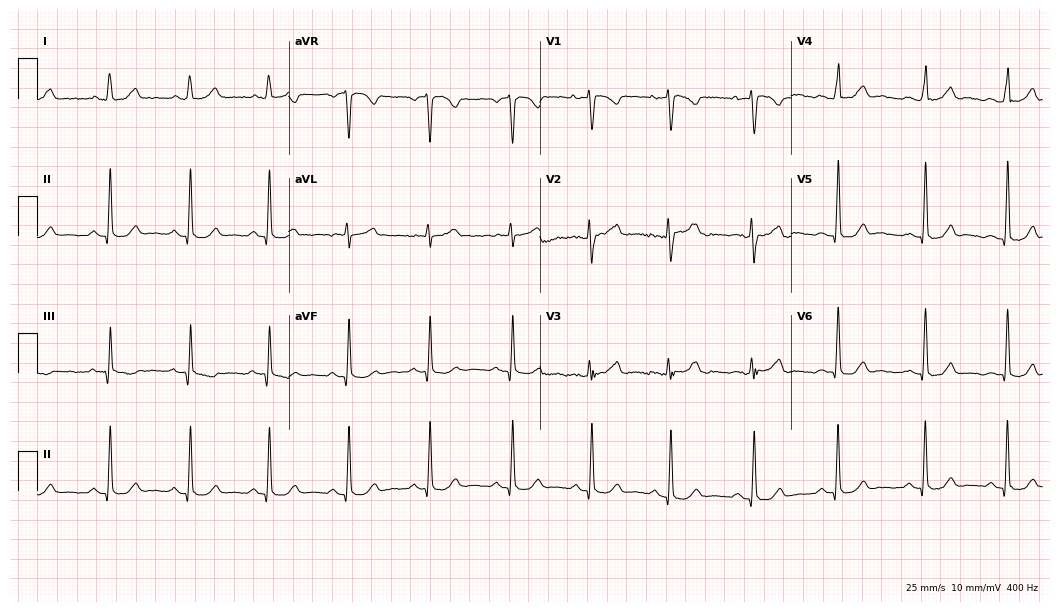
Resting 12-lead electrocardiogram. Patient: a 49-year-old woman. Read as a normal ECG.